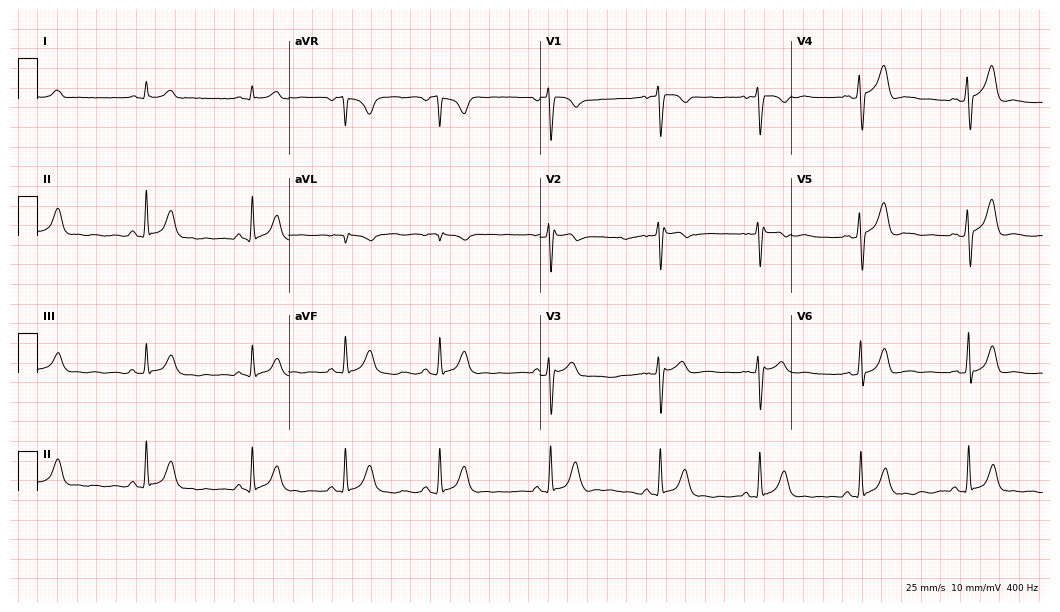
Resting 12-lead electrocardiogram. Patient: a 24-year-old male. None of these six findings is recorded: first-degree AV block, right bundle branch block, left bundle branch block, sinus bradycardia, atrial fibrillation, sinus tachycardia.